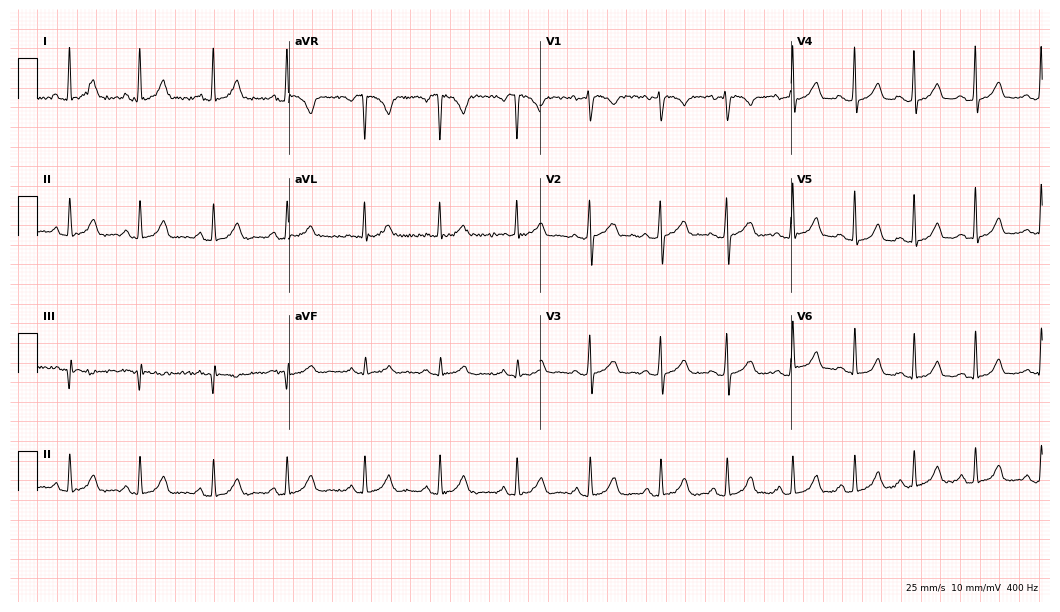
12-lead ECG from a 23-year-old female. Labelled as a normal ECG.